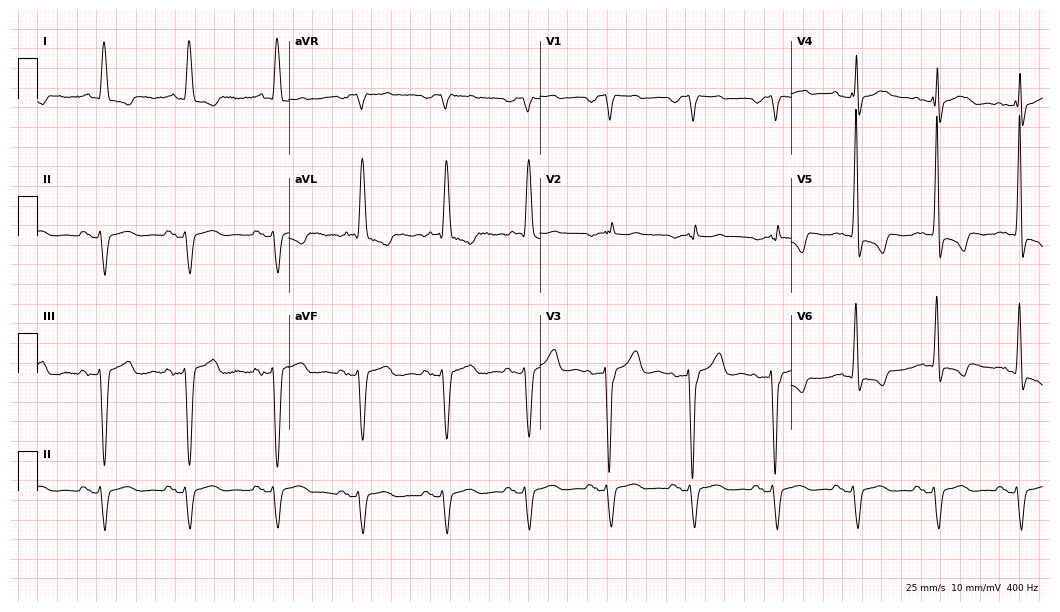
Electrocardiogram (10.2-second recording at 400 Hz), a 78-year-old male patient. Of the six screened findings (first-degree AV block, right bundle branch block, left bundle branch block, sinus bradycardia, atrial fibrillation, sinus tachycardia), none is recorded.